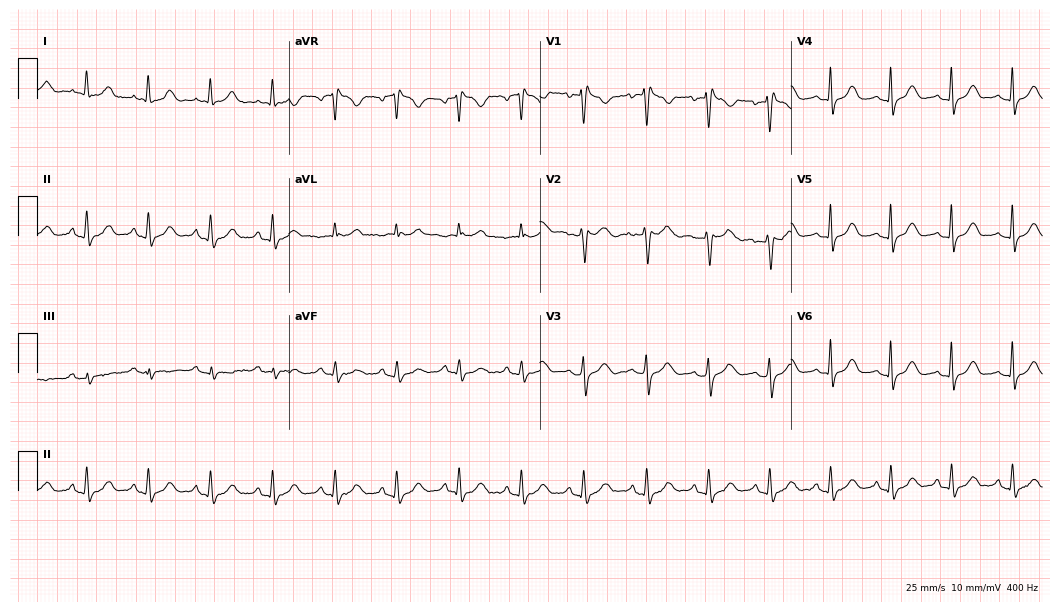
ECG (10.2-second recording at 400 Hz) — a woman, 41 years old. Screened for six findings — first-degree AV block, right bundle branch block (RBBB), left bundle branch block (LBBB), sinus bradycardia, atrial fibrillation (AF), sinus tachycardia — none is recorded.